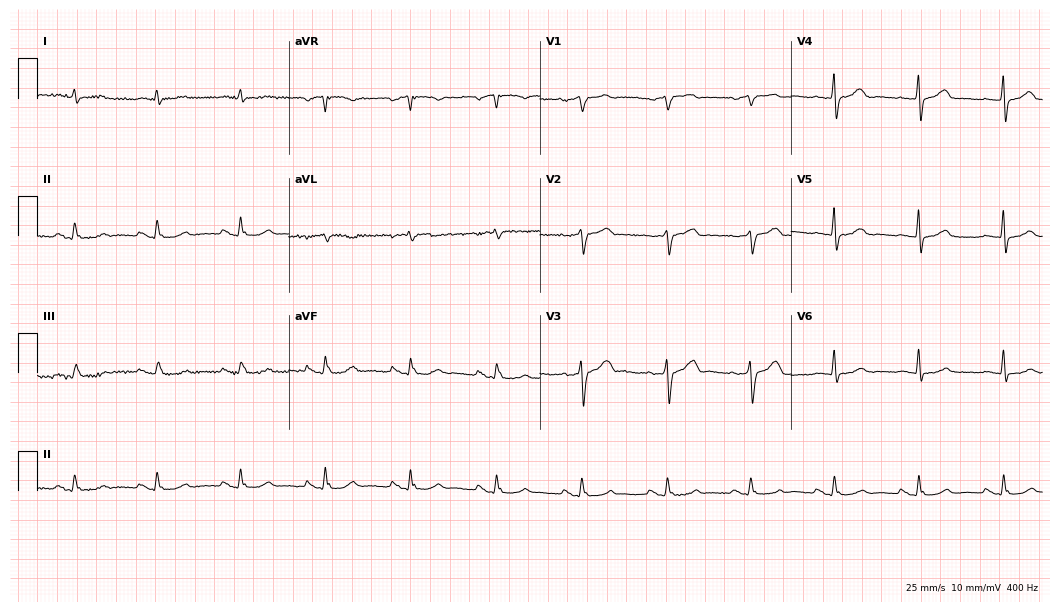
12-lead ECG from a male patient, 71 years old (10.2-second recording at 400 Hz). Recorded interpretation: within normal limits.